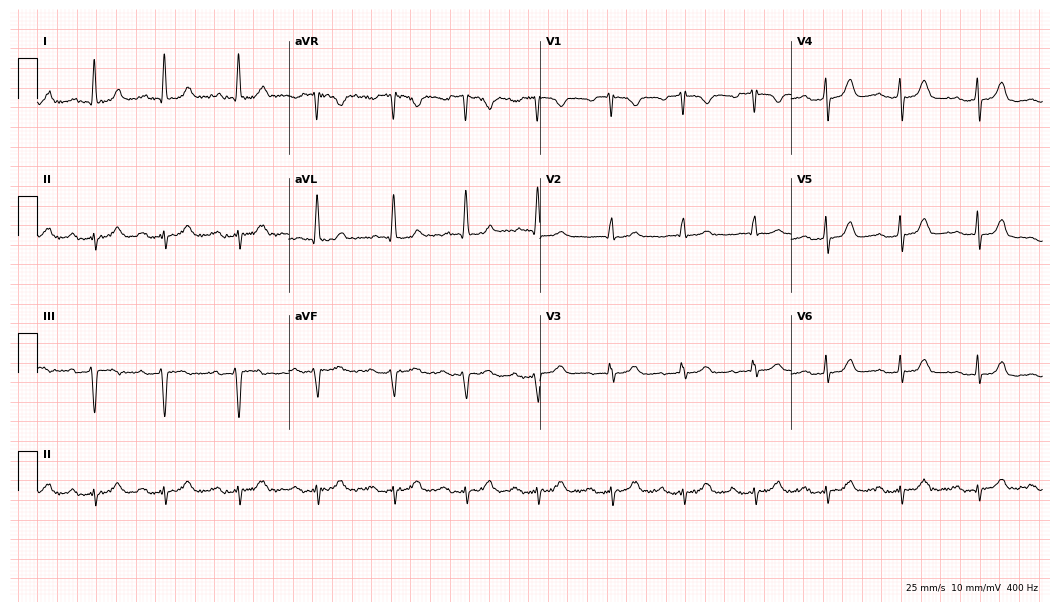
12-lead ECG from a female, 72 years old. Shows first-degree AV block.